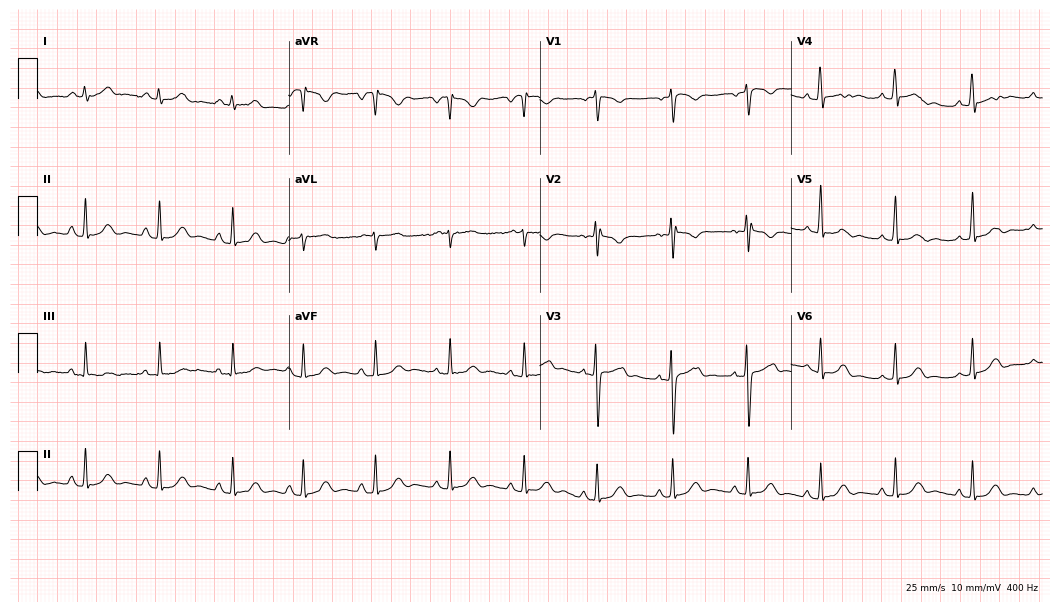
12-lead ECG from a 20-year-old female. Labelled as a normal ECG.